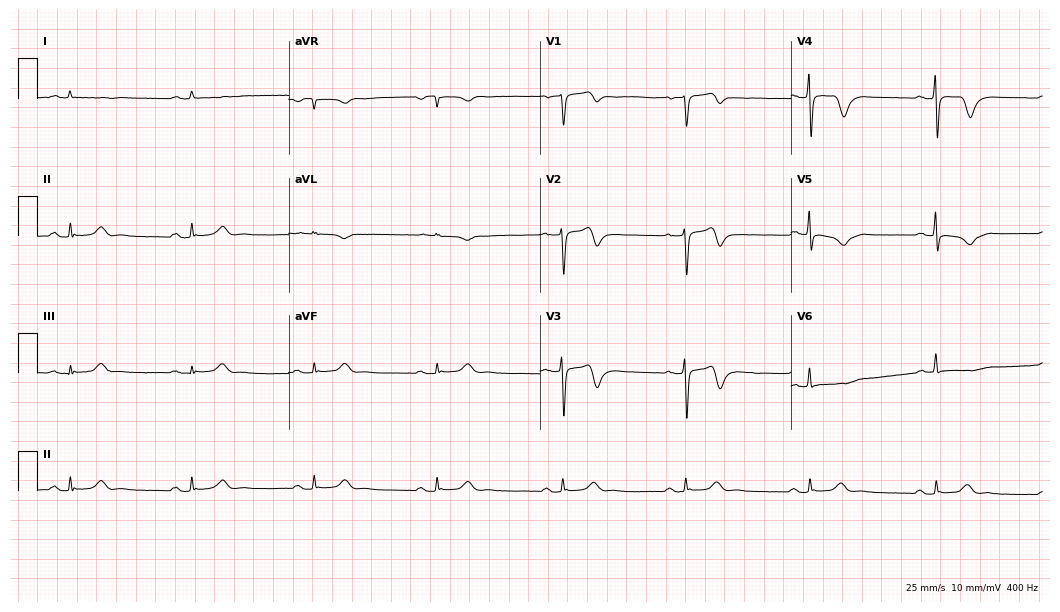
12-lead ECG from a man, 61 years old. Findings include sinus bradycardia (a sinus rate of 50 beats per minute or less).